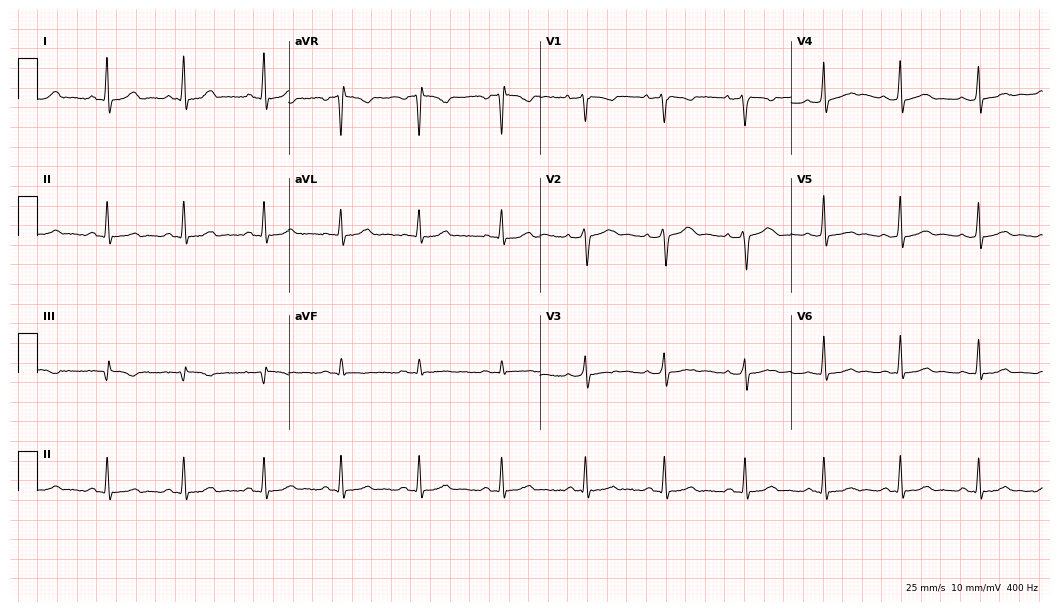
Electrocardiogram, a woman, 23 years old. Overall reading on record: normal ECG.